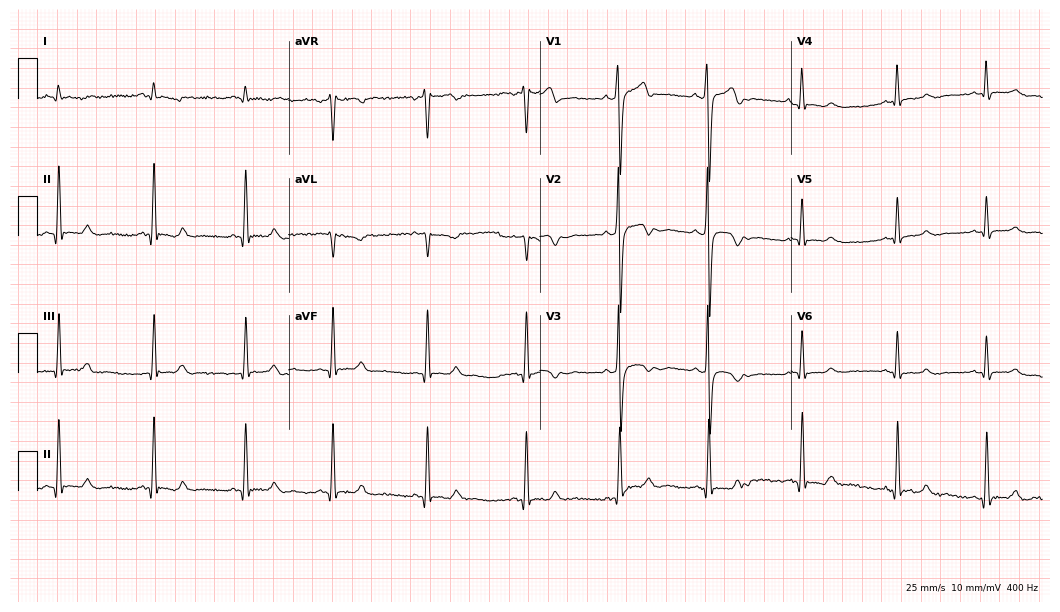
Electrocardiogram, a male, 23 years old. Of the six screened findings (first-degree AV block, right bundle branch block, left bundle branch block, sinus bradycardia, atrial fibrillation, sinus tachycardia), none is recorded.